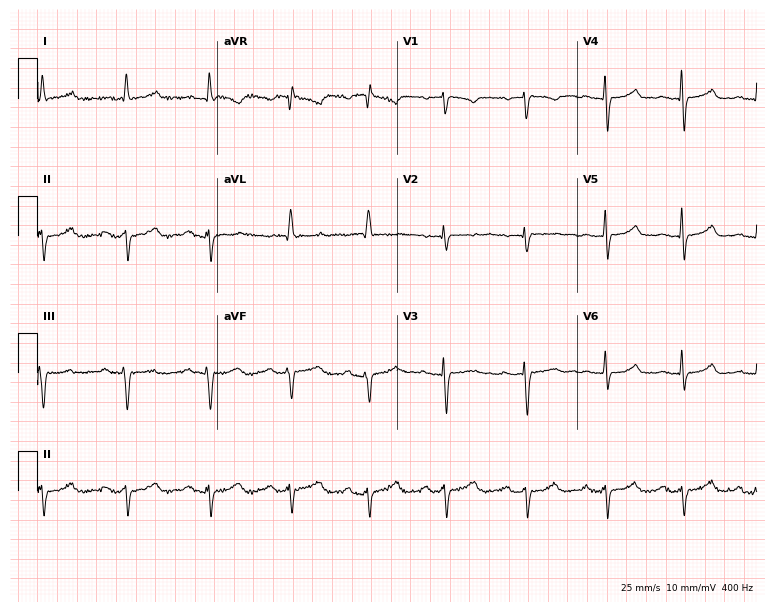
12-lead ECG from a 68-year-old female. Screened for six findings — first-degree AV block, right bundle branch block (RBBB), left bundle branch block (LBBB), sinus bradycardia, atrial fibrillation (AF), sinus tachycardia — none is recorded.